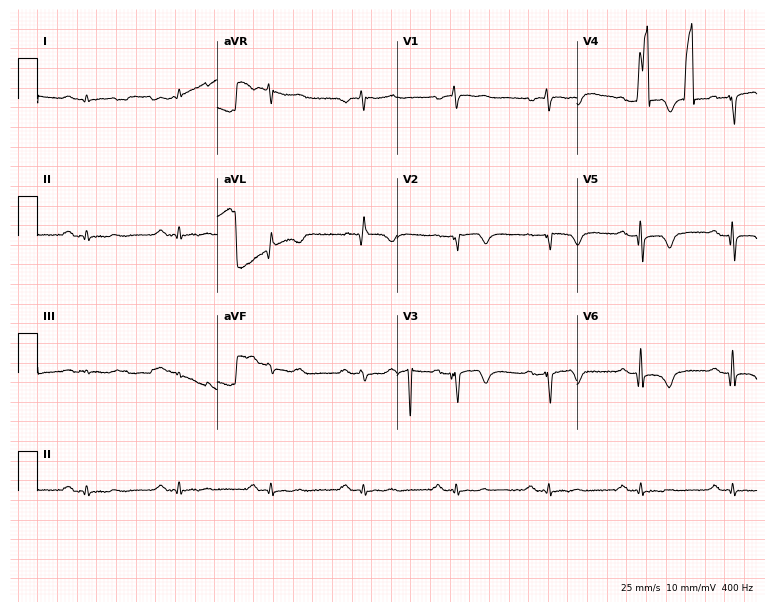
Electrocardiogram, a 79-year-old male patient. Of the six screened findings (first-degree AV block, right bundle branch block, left bundle branch block, sinus bradycardia, atrial fibrillation, sinus tachycardia), none is recorded. Only these six findings were labelled.